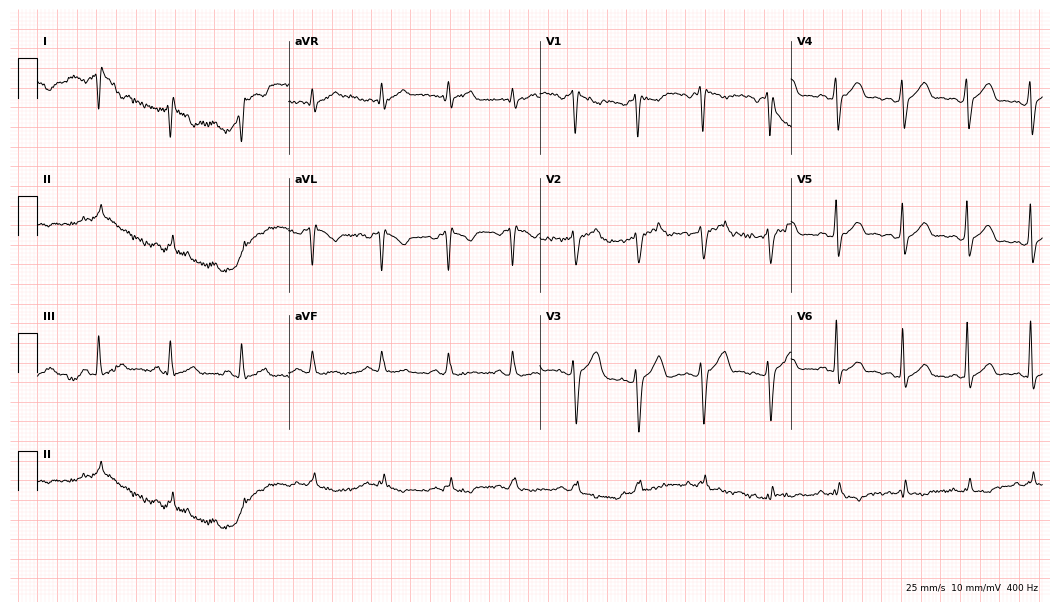
Resting 12-lead electrocardiogram (10.2-second recording at 400 Hz). Patient: a 40-year-old man. None of these six findings is recorded: first-degree AV block, right bundle branch block (RBBB), left bundle branch block (LBBB), sinus bradycardia, atrial fibrillation (AF), sinus tachycardia. Other findings, if any, are not listed.